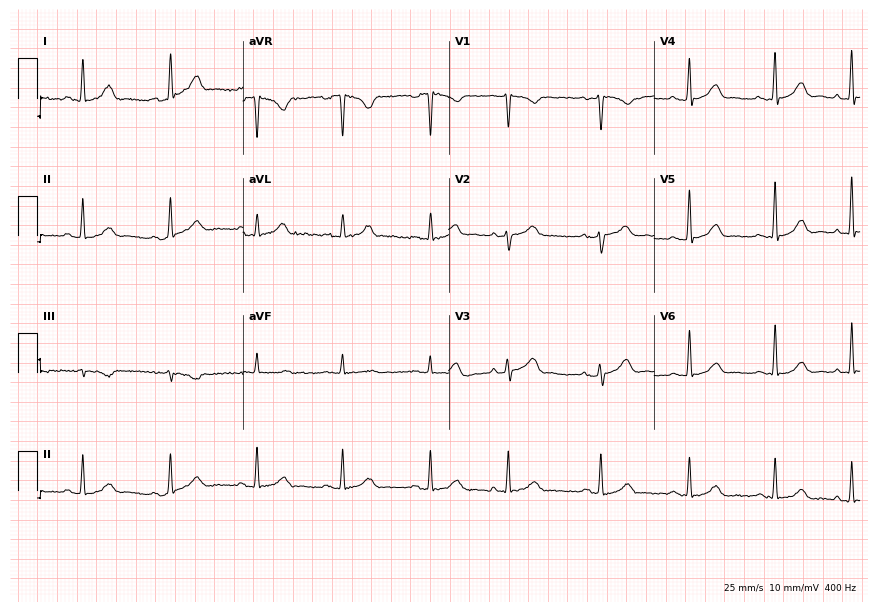
Standard 12-lead ECG recorded from a female patient, 41 years old (8.4-second recording at 400 Hz). Read as a normal ECG.